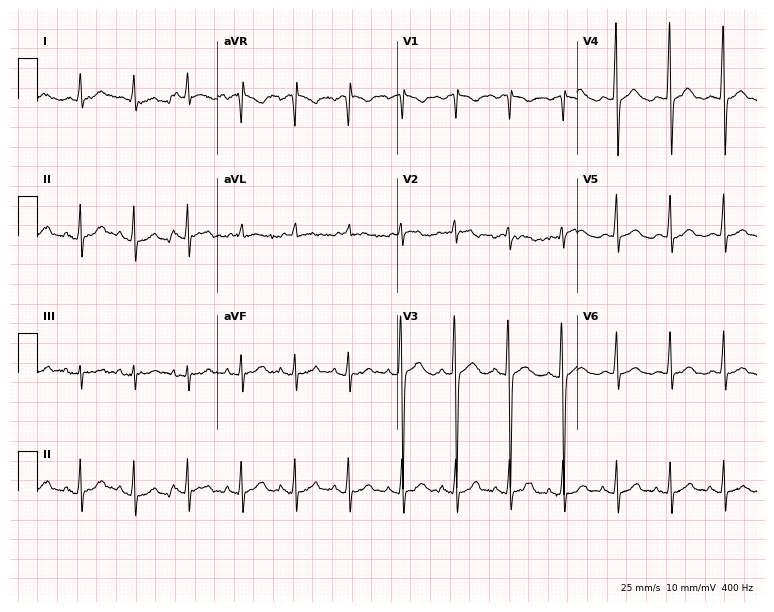
12-lead ECG from a female, 85 years old. Screened for six findings — first-degree AV block, right bundle branch block, left bundle branch block, sinus bradycardia, atrial fibrillation, sinus tachycardia — none is recorded.